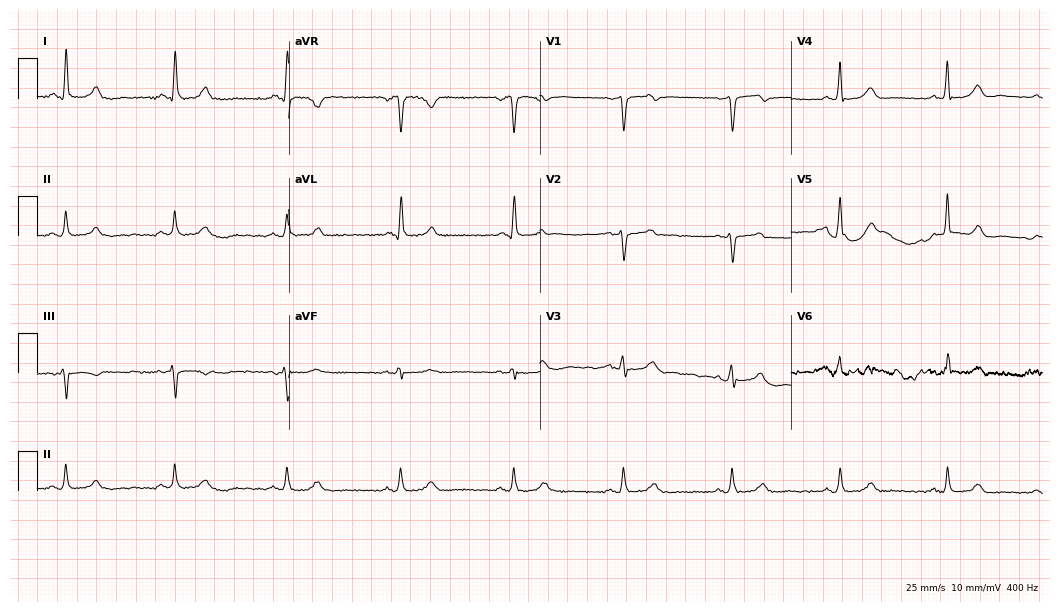
Resting 12-lead electrocardiogram (10.2-second recording at 400 Hz). Patient: a 65-year-old male. Read as a normal ECG.